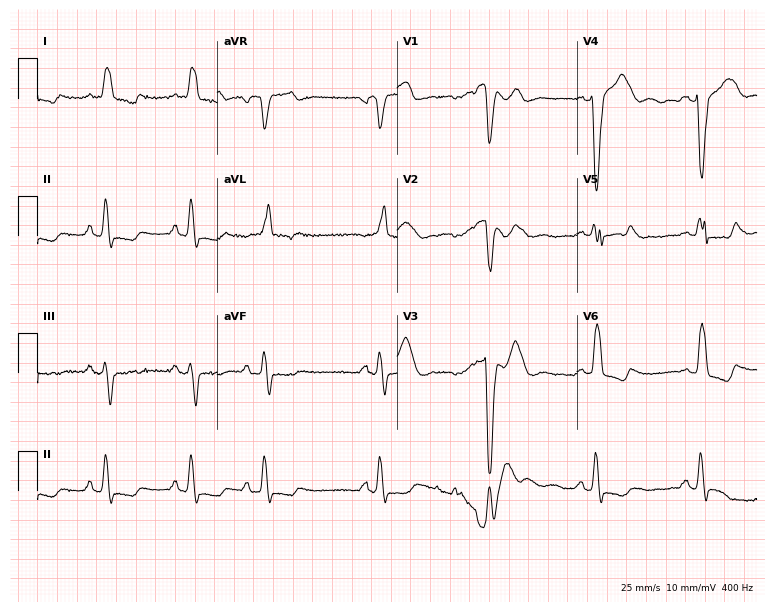
12-lead ECG from a 61-year-old male (7.3-second recording at 400 Hz). Shows left bundle branch block (LBBB).